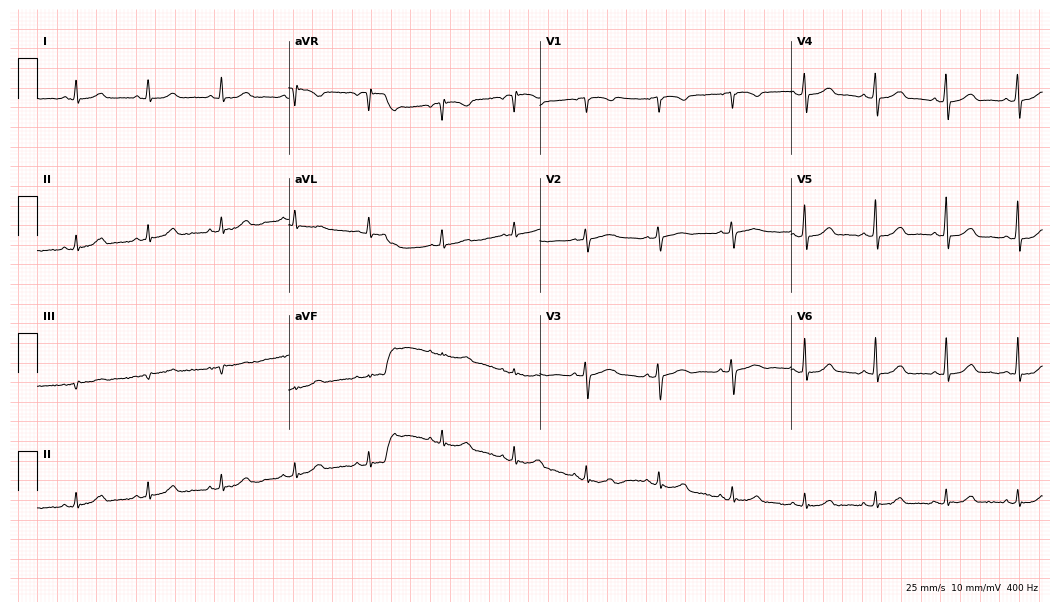
12-lead ECG from a female patient, 63 years old (10.2-second recording at 400 Hz). Recorded interpretation: within normal limits.